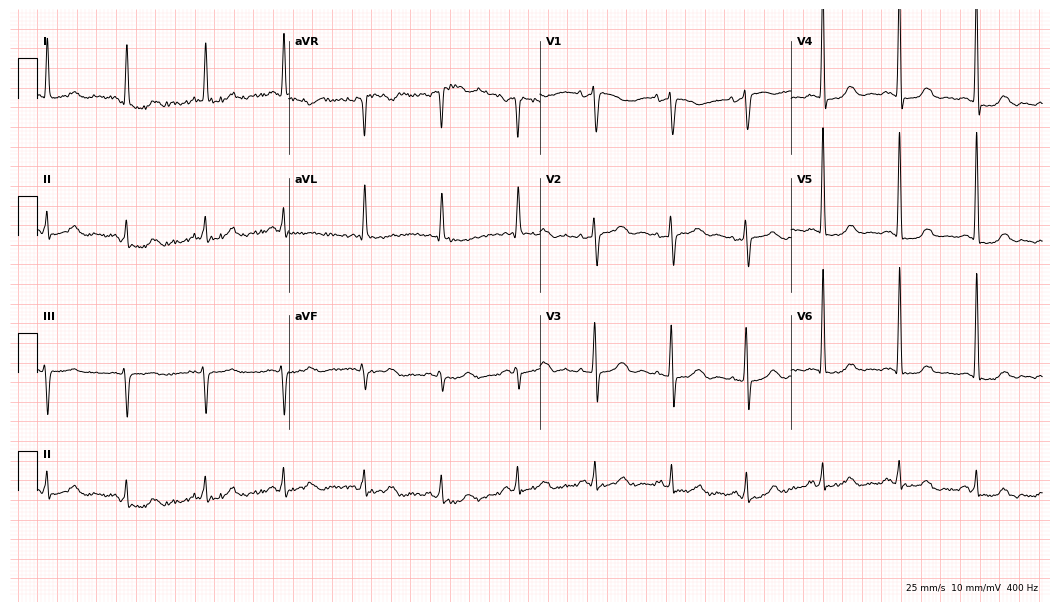
Electrocardiogram (10.2-second recording at 400 Hz), a 78-year-old female patient. Of the six screened findings (first-degree AV block, right bundle branch block (RBBB), left bundle branch block (LBBB), sinus bradycardia, atrial fibrillation (AF), sinus tachycardia), none is recorded. Findings outside these six are not listed.